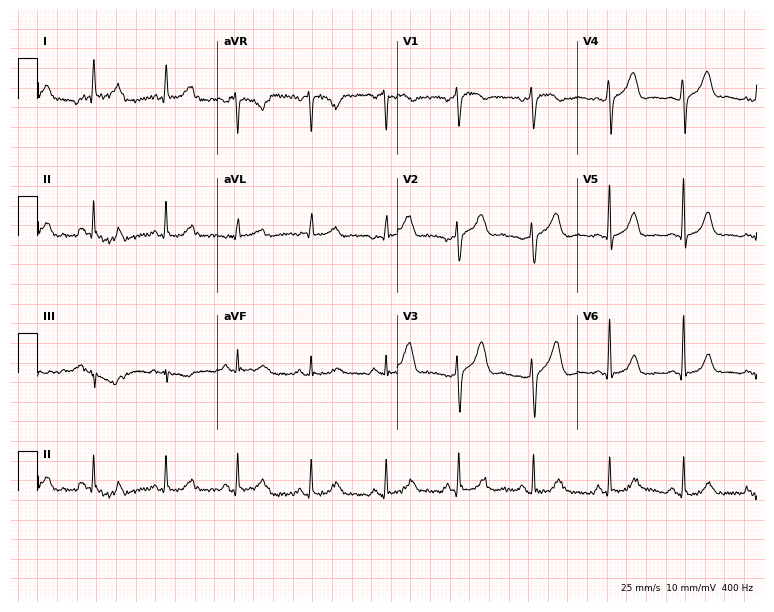
Standard 12-lead ECG recorded from a 48-year-old woman. None of these six findings is recorded: first-degree AV block, right bundle branch block, left bundle branch block, sinus bradycardia, atrial fibrillation, sinus tachycardia.